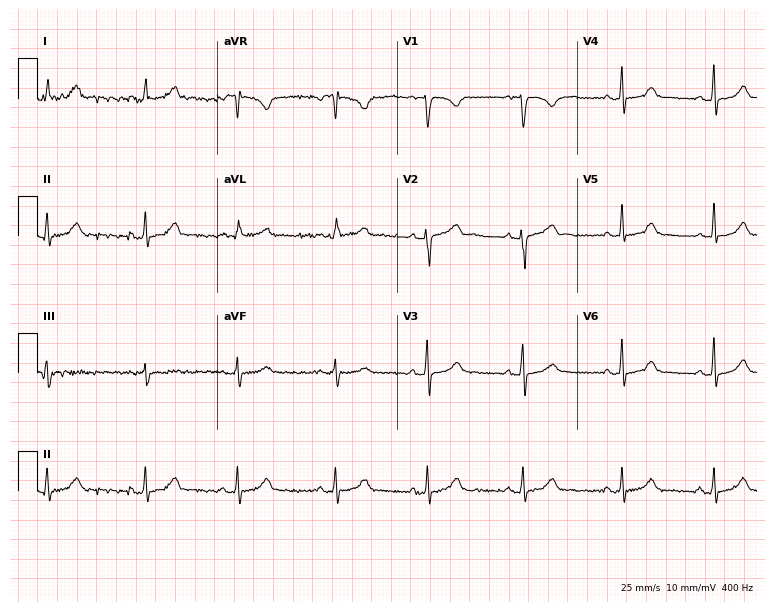
ECG (7.3-second recording at 400 Hz) — a 30-year-old female patient. Screened for six findings — first-degree AV block, right bundle branch block, left bundle branch block, sinus bradycardia, atrial fibrillation, sinus tachycardia — none is recorded.